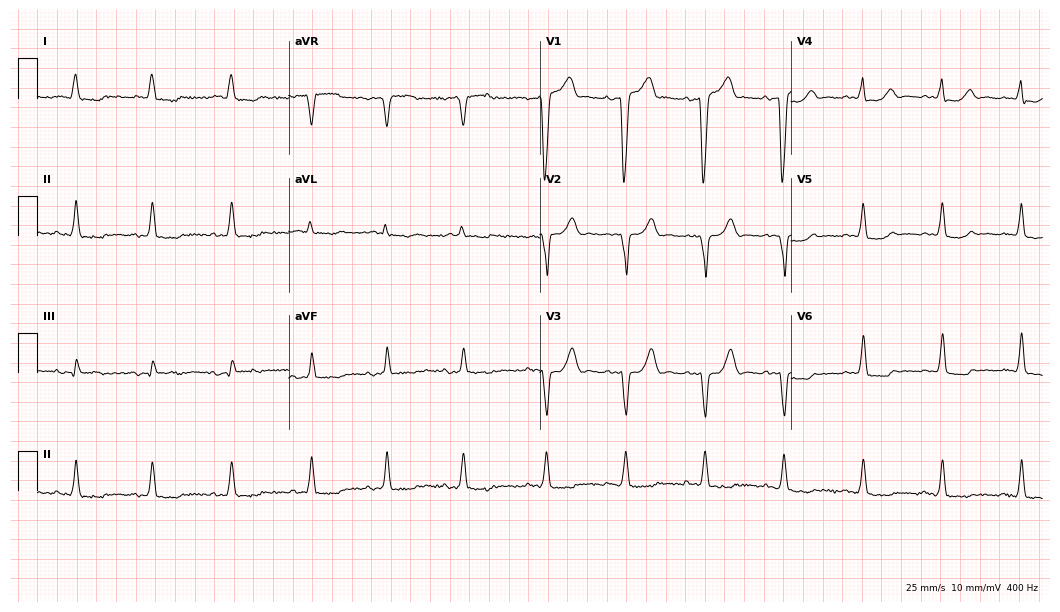
Standard 12-lead ECG recorded from an 85-year-old male patient. None of these six findings is recorded: first-degree AV block, right bundle branch block, left bundle branch block, sinus bradycardia, atrial fibrillation, sinus tachycardia.